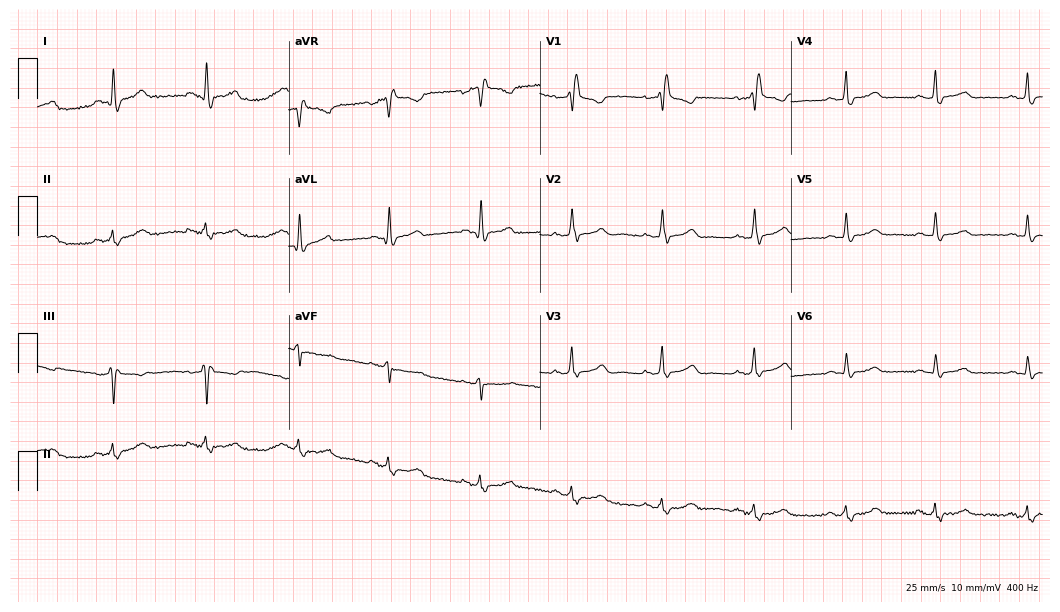
Electrocardiogram (10.2-second recording at 400 Hz), a 51-year-old woman. Of the six screened findings (first-degree AV block, right bundle branch block, left bundle branch block, sinus bradycardia, atrial fibrillation, sinus tachycardia), none is recorded.